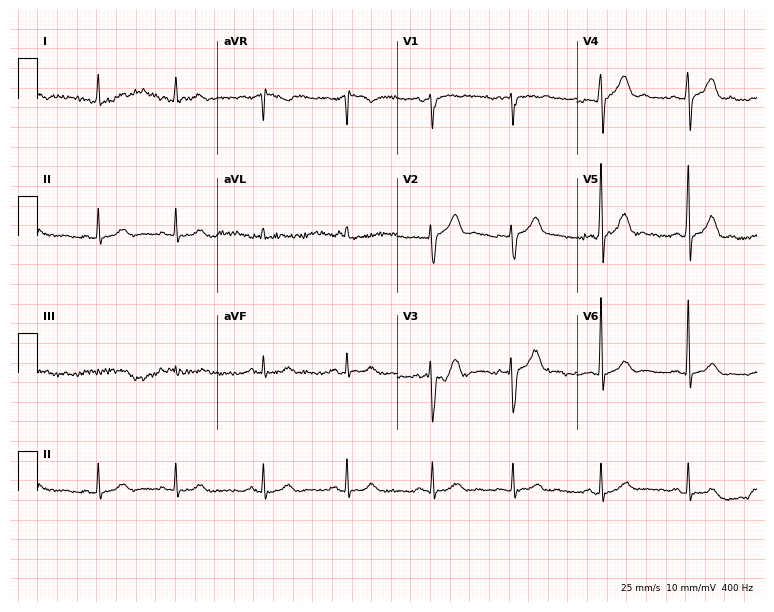
ECG (7.3-second recording at 400 Hz) — a 67-year-old male patient. Labelled as a normal ECG.